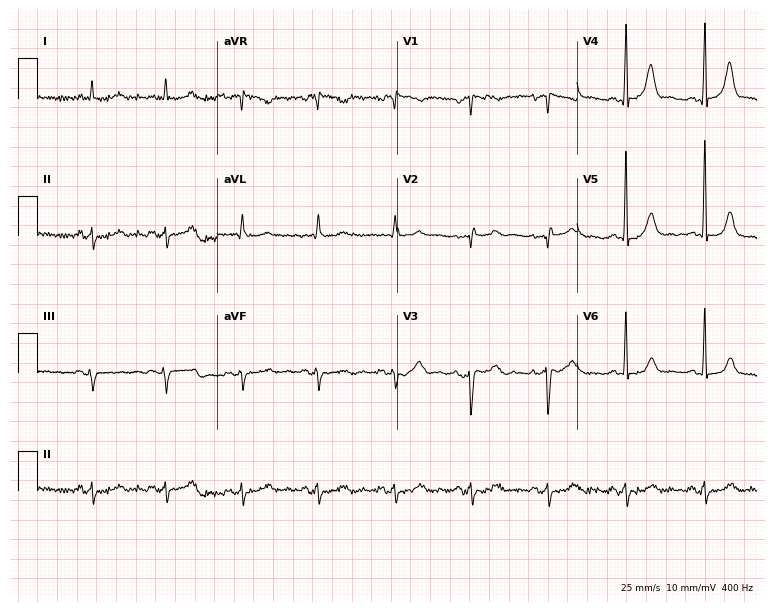
12-lead ECG from an 85-year-old man. Screened for six findings — first-degree AV block, right bundle branch block (RBBB), left bundle branch block (LBBB), sinus bradycardia, atrial fibrillation (AF), sinus tachycardia — none is recorded. Only these six findings were labelled.